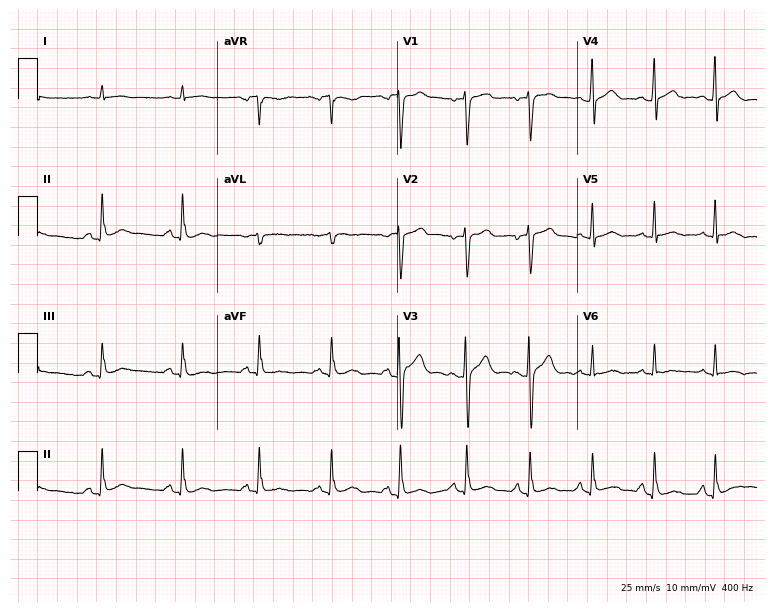
ECG — a 45-year-old man. Screened for six findings — first-degree AV block, right bundle branch block (RBBB), left bundle branch block (LBBB), sinus bradycardia, atrial fibrillation (AF), sinus tachycardia — none is recorded.